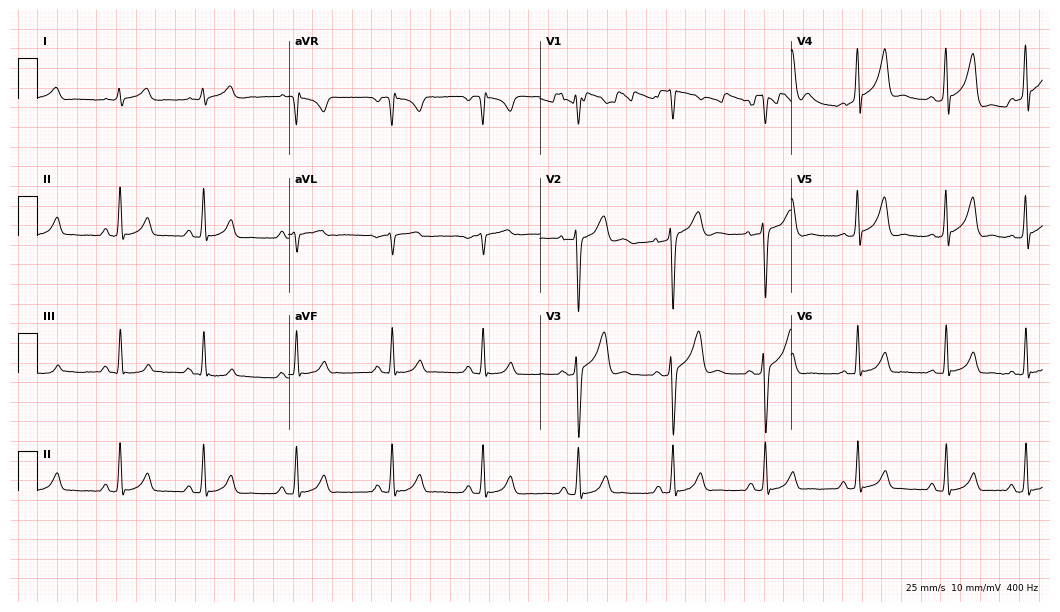
ECG (10.2-second recording at 400 Hz) — a 34-year-old man. Labelled as a normal ECG.